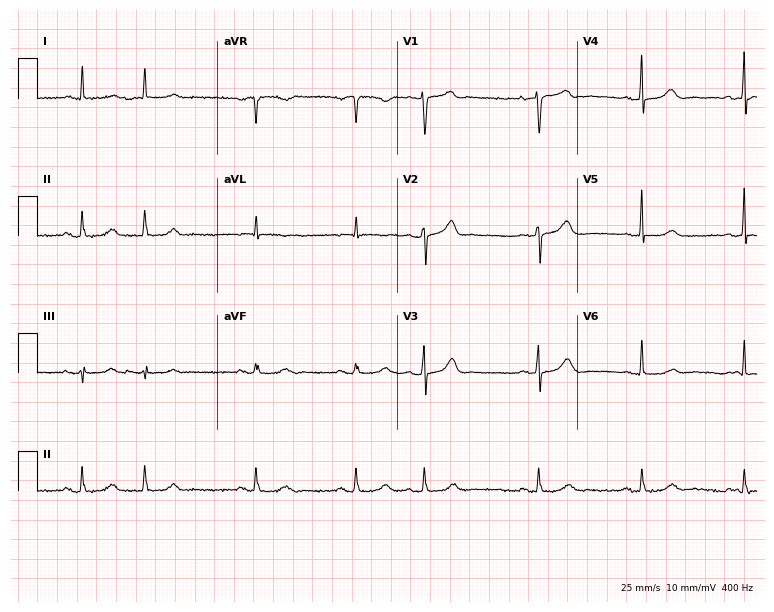
12-lead ECG (7.3-second recording at 400 Hz) from a woman, 77 years old. Screened for six findings — first-degree AV block, right bundle branch block, left bundle branch block, sinus bradycardia, atrial fibrillation, sinus tachycardia — none is recorded. Other findings, if any, are not listed.